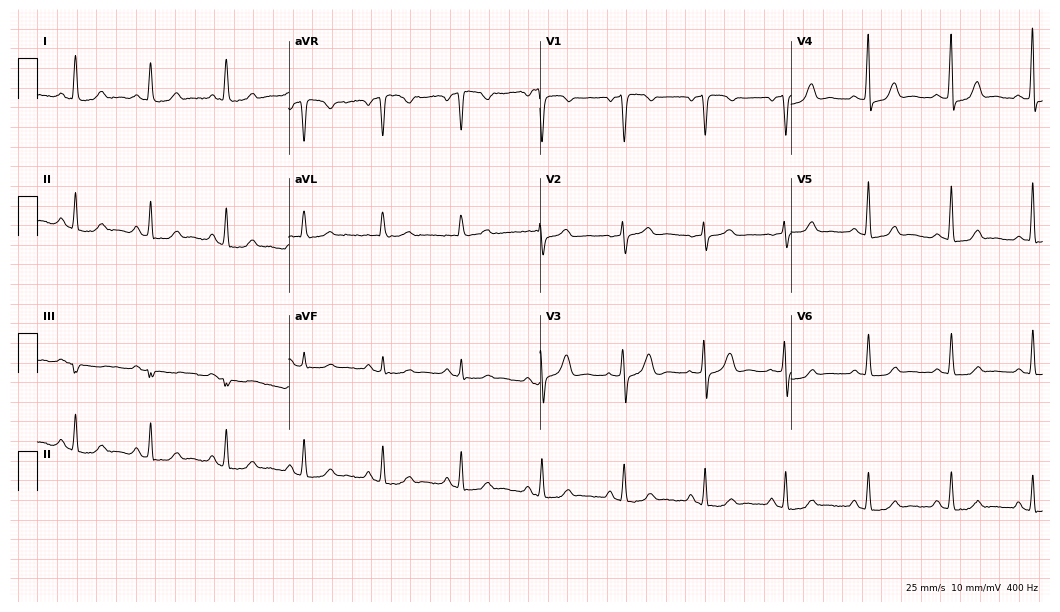
12-lead ECG (10.2-second recording at 400 Hz) from a female, 44 years old. Screened for six findings — first-degree AV block, right bundle branch block, left bundle branch block, sinus bradycardia, atrial fibrillation, sinus tachycardia — none is recorded. Other findings, if any, are not listed.